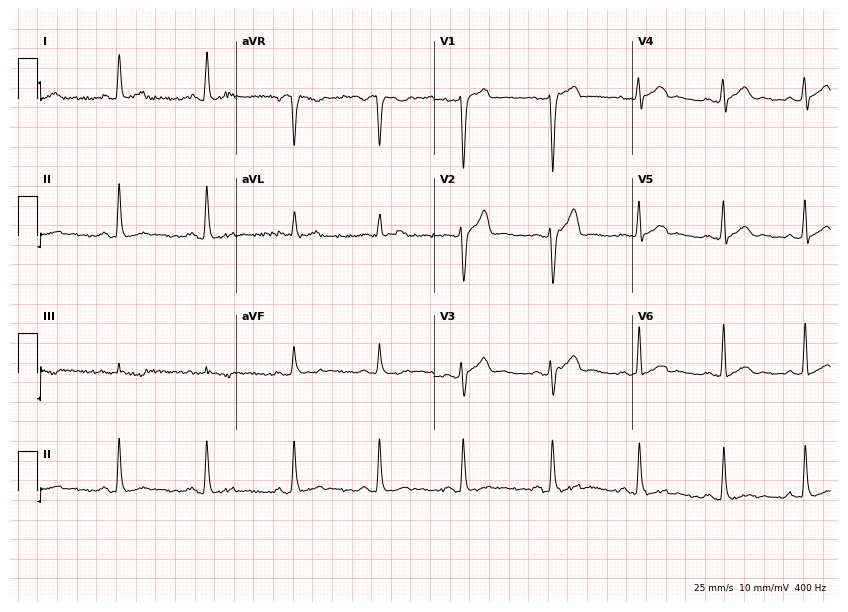
12-lead ECG (8.1-second recording at 400 Hz) from a male, 28 years old. Screened for six findings — first-degree AV block, right bundle branch block (RBBB), left bundle branch block (LBBB), sinus bradycardia, atrial fibrillation (AF), sinus tachycardia — none is recorded.